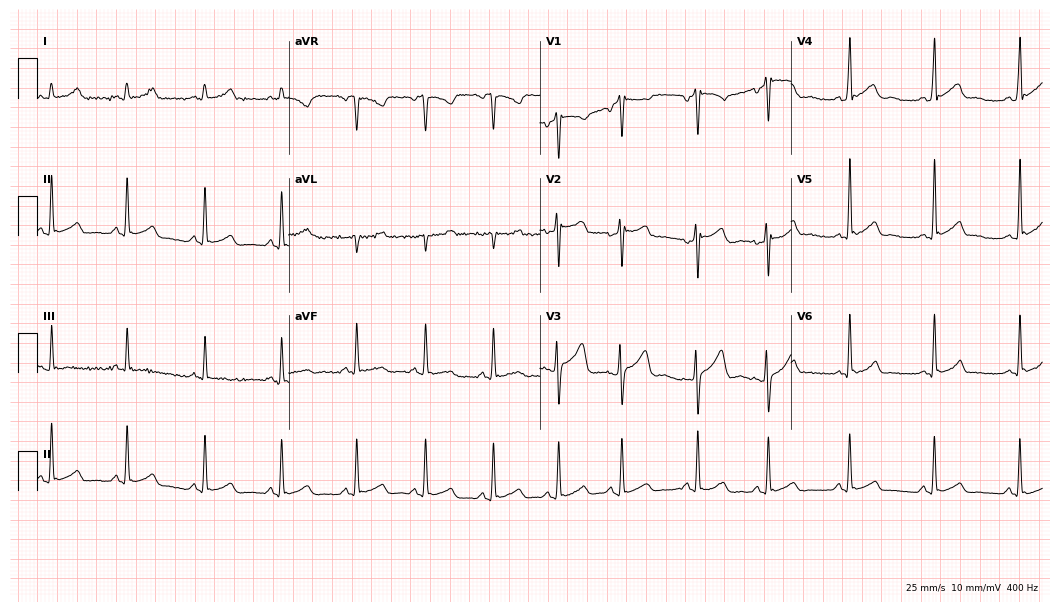
ECG (10.2-second recording at 400 Hz) — a male patient, 27 years old. Screened for six findings — first-degree AV block, right bundle branch block (RBBB), left bundle branch block (LBBB), sinus bradycardia, atrial fibrillation (AF), sinus tachycardia — none is recorded.